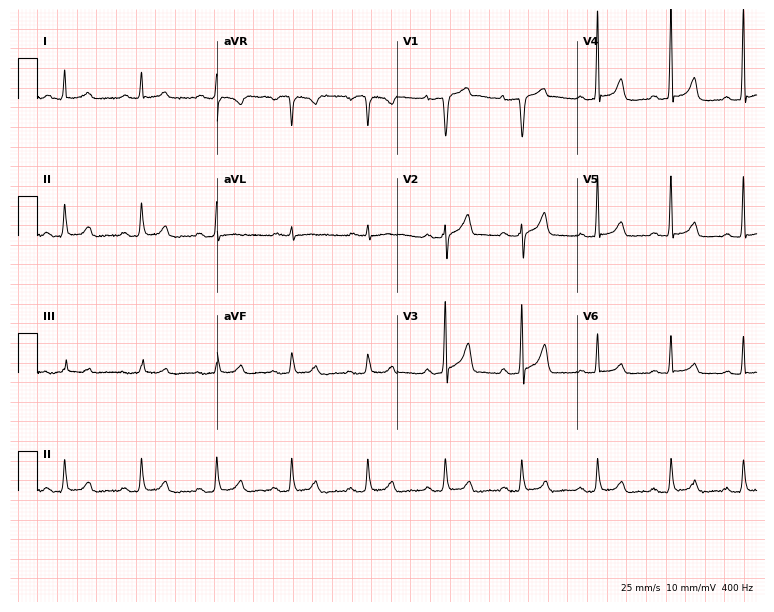
Standard 12-lead ECG recorded from a 79-year-old man (7.3-second recording at 400 Hz). None of these six findings is recorded: first-degree AV block, right bundle branch block, left bundle branch block, sinus bradycardia, atrial fibrillation, sinus tachycardia. Other findings, if any, are not listed.